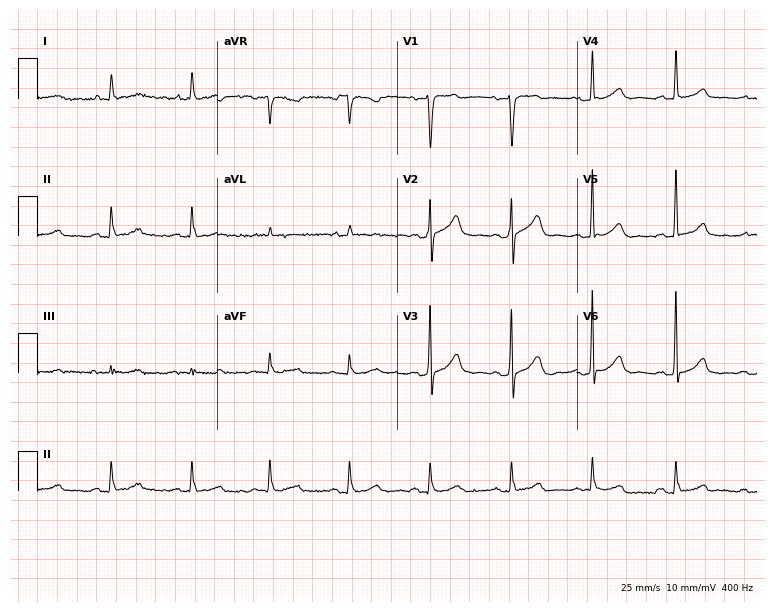
12-lead ECG from a male patient, 67 years old. Labelled as a normal ECG.